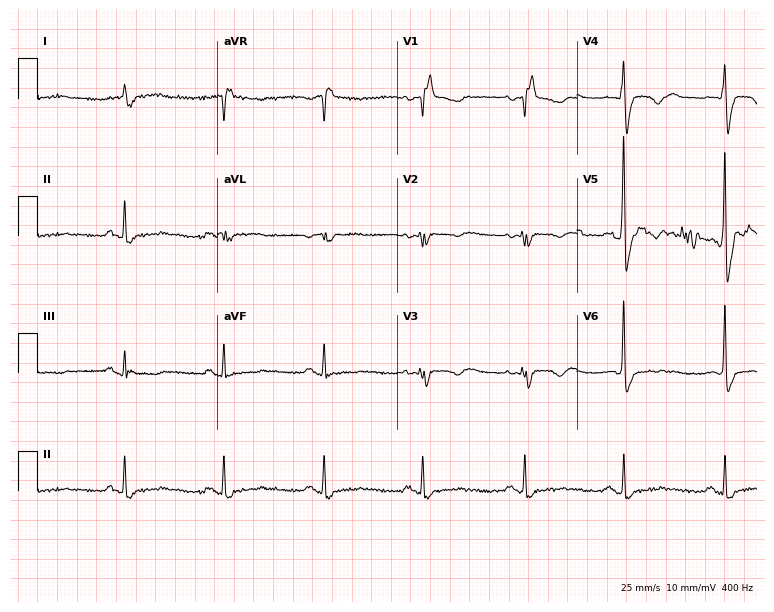
12-lead ECG from a woman, 71 years old. Findings include right bundle branch block.